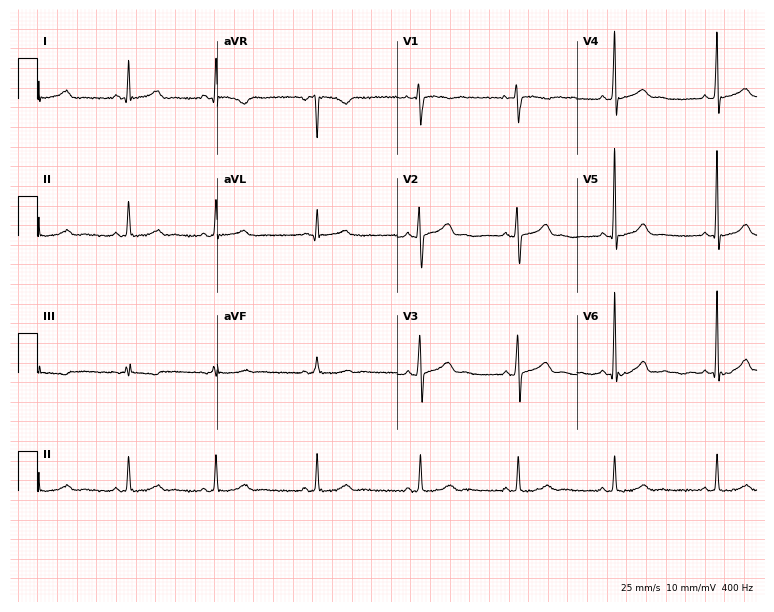
Standard 12-lead ECG recorded from a female, 38 years old (7.3-second recording at 400 Hz). Read as a normal ECG.